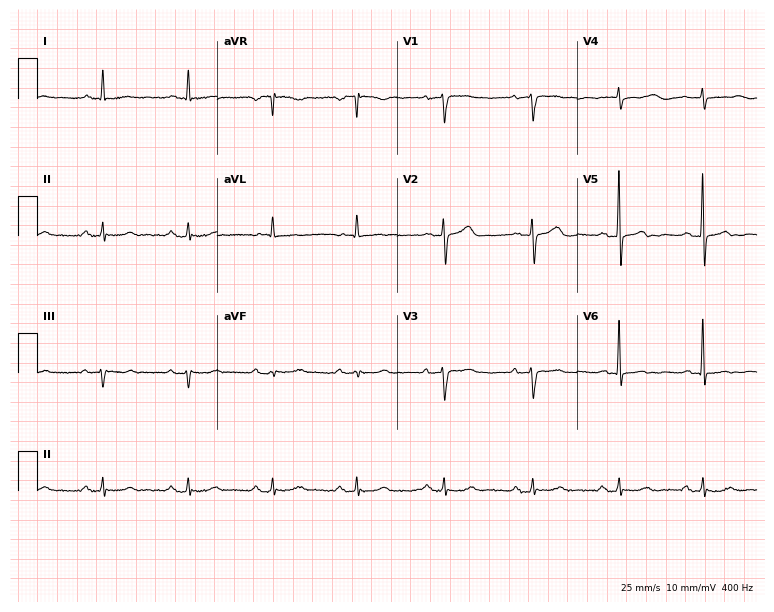
Electrocardiogram (7.3-second recording at 400 Hz), a 69-year-old female patient. Of the six screened findings (first-degree AV block, right bundle branch block, left bundle branch block, sinus bradycardia, atrial fibrillation, sinus tachycardia), none is recorded. Only these six findings were labelled.